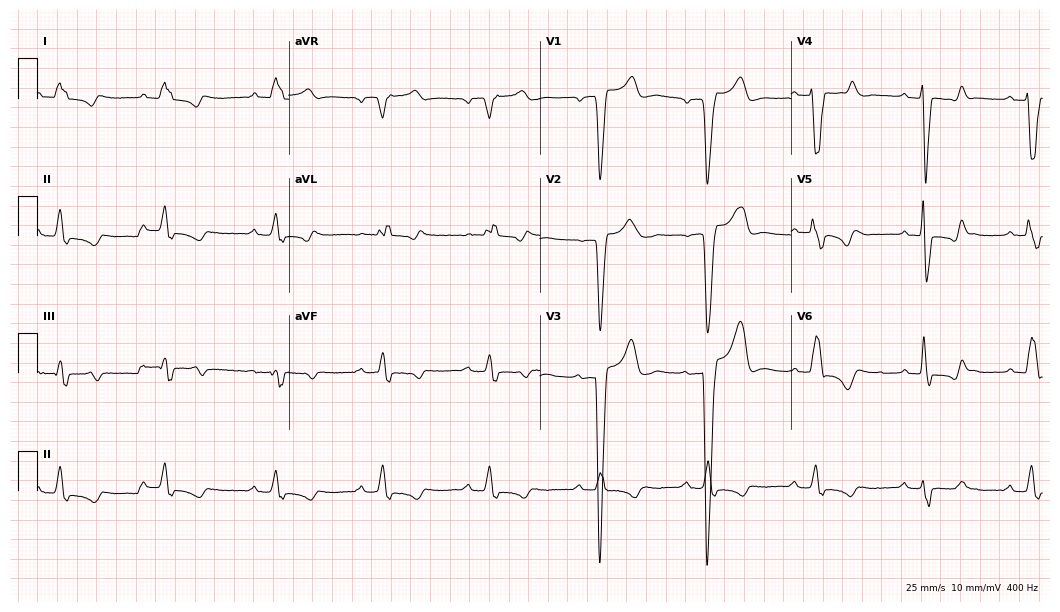
ECG (10.2-second recording at 400 Hz) — a male, 85 years old. Findings include first-degree AV block, left bundle branch block (LBBB).